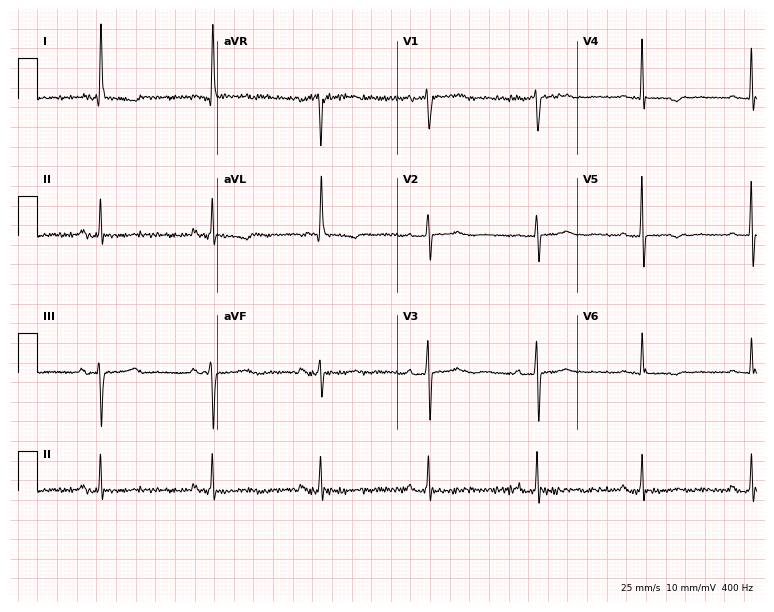
Resting 12-lead electrocardiogram. Patient: a female, 81 years old. None of these six findings is recorded: first-degree AV block, right bundle branch block, left bundle branch block, sinus bradycardia, atrial fibrillation, sinus tachycardia.